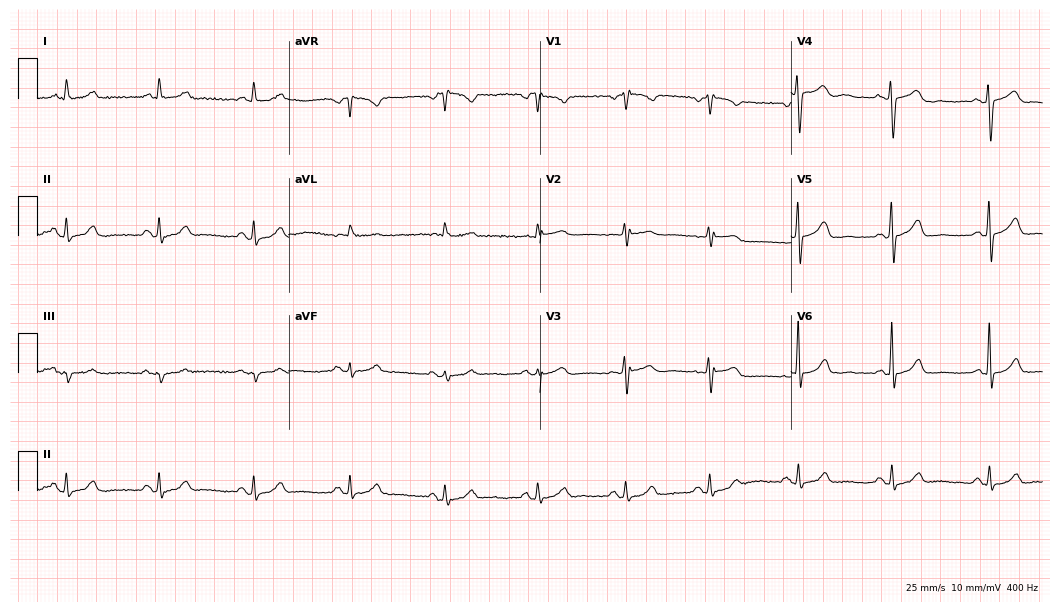
Standard 12-lead ECG recorded from a 57-year-old female. Read as a normal ECG.